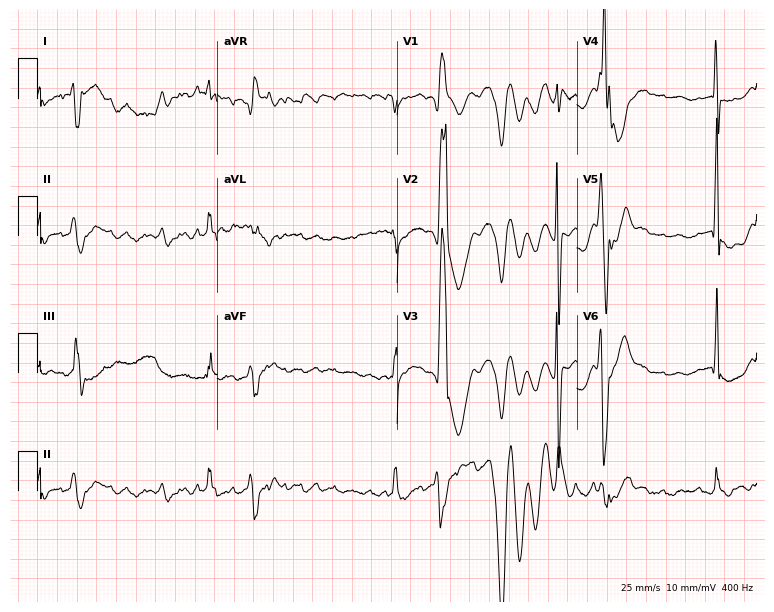
Standard 12-lead ECG recorded from a female, 74 years old. None of these six findings is recorded: first-degree AV block, right bundle branch block, left bundle branch block, sinus bradycardia, atrial fibrillation, sinus tachycardia. Other findings, if any, are not listed.